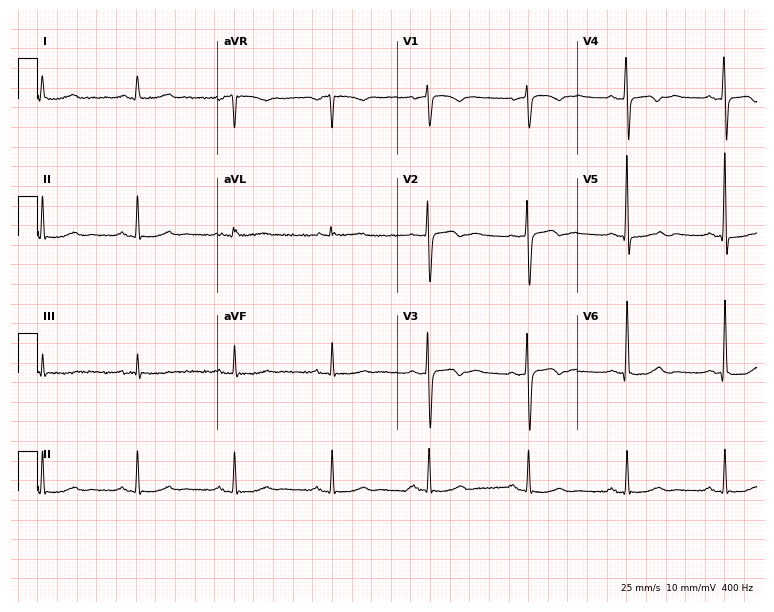
Standard 12-lead ECG recorded from a 68-year-old woman (7.3-second recording at 400 Hz). None of these six findings is recorded: first-degree AV block, right bundle branch block (RBBB), left bundle branch block (LBBB), sinus bradycardia, atrial fibrillation (AF), sinus tachycardia. Other findings, if any, are not listed.